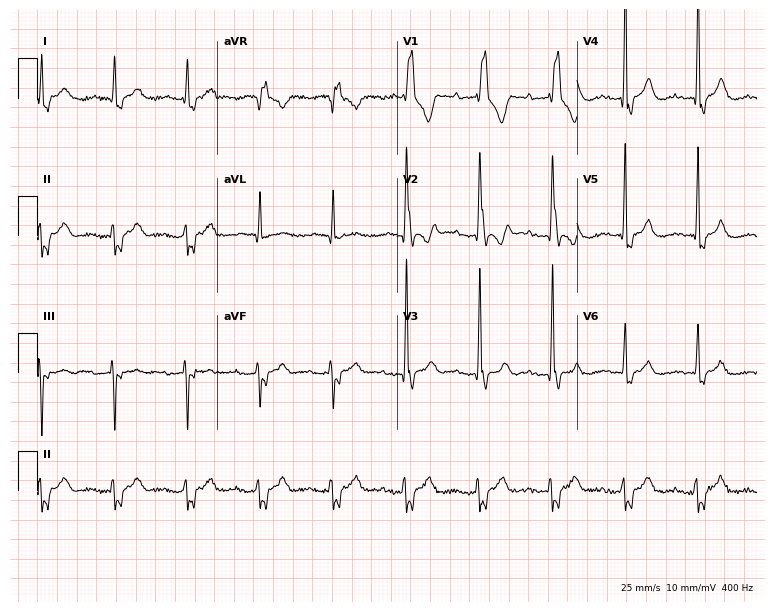
Standard 12-lead ECG recorded from a man, 54 years old (7.3-second recording at 400 Hz). The tracing shows right bundle branch block.